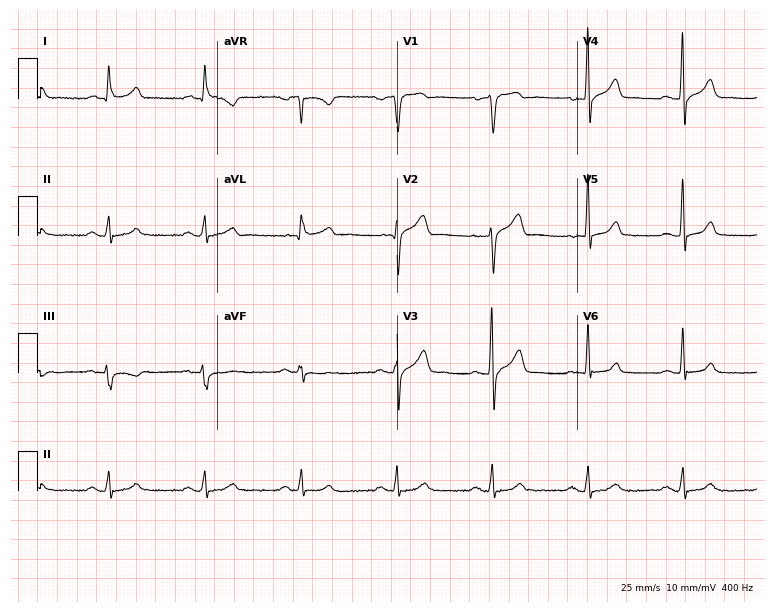
Standard 12-lead ECG recorded from a man, 53 years old (7.3-second recording at 400 Hz). Read as a normal ECG.